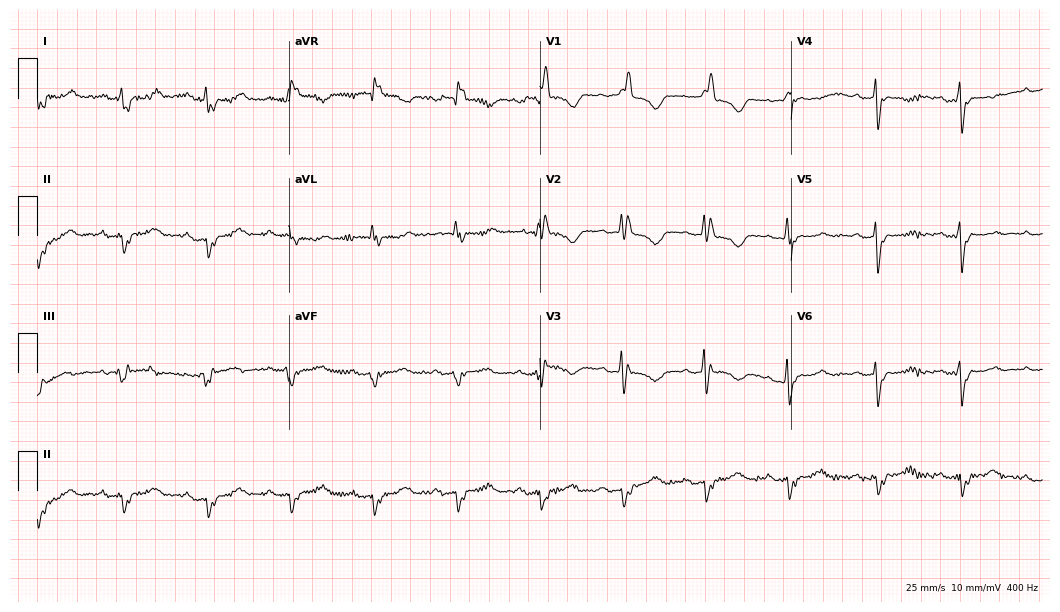
12-lead ECG from a female, 83 years old. Findings include right bundle branch block.